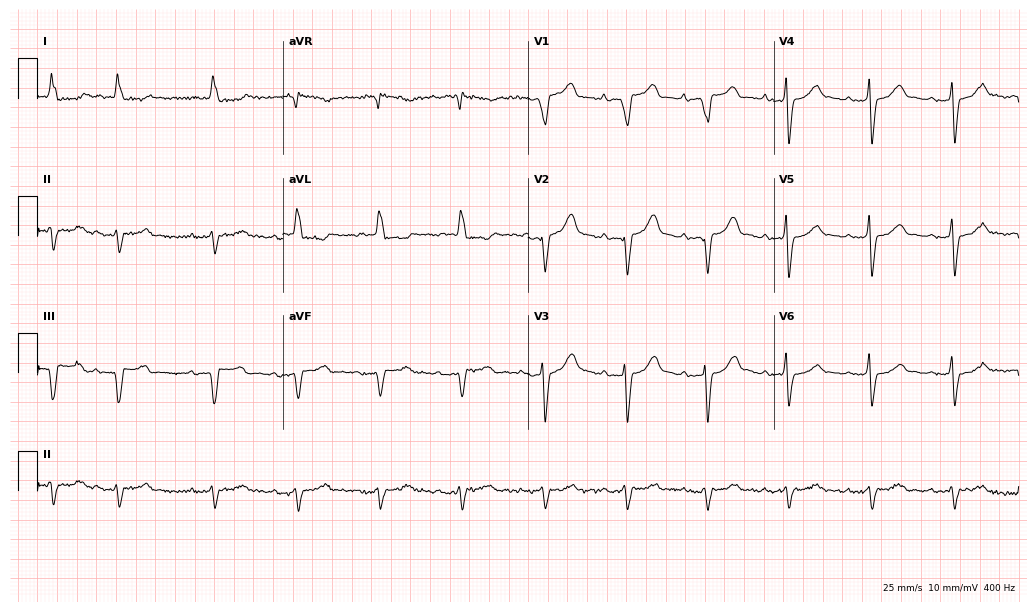
12-lead ECG from a male patient, 79 years old. Screened for six findings — first-degree AV block, right bundle branch block, left bundle branch block, sinus bradycardia, atrial fibrillation, sinus tachycardia — none is recorded.